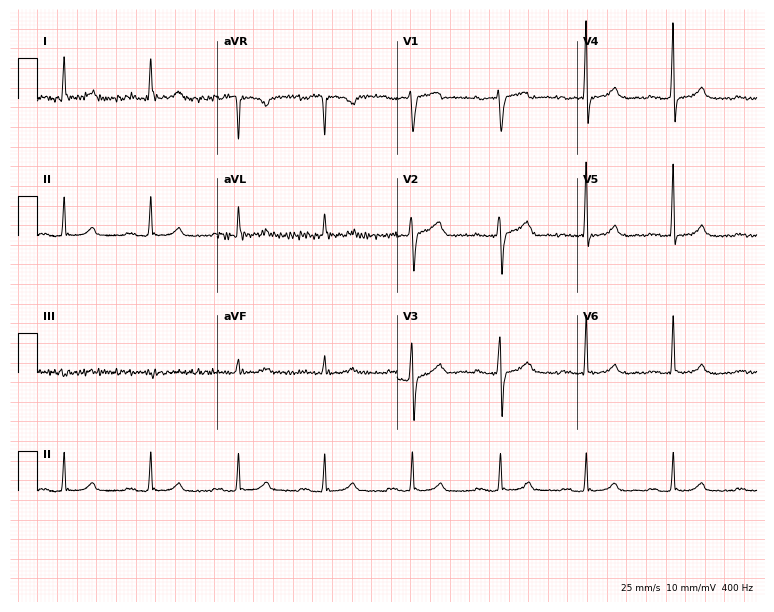
Electrocardiogram (7.3-second recording at 400 Hz), a female patient, 56 years old. Of the six screened findings (first-degree AV block, right bundle branch block, left bundle branch block, sinus bradycardia, atrial fibrillation, sinus tachycardia), none is recorded. Findings outside these six are not listed.